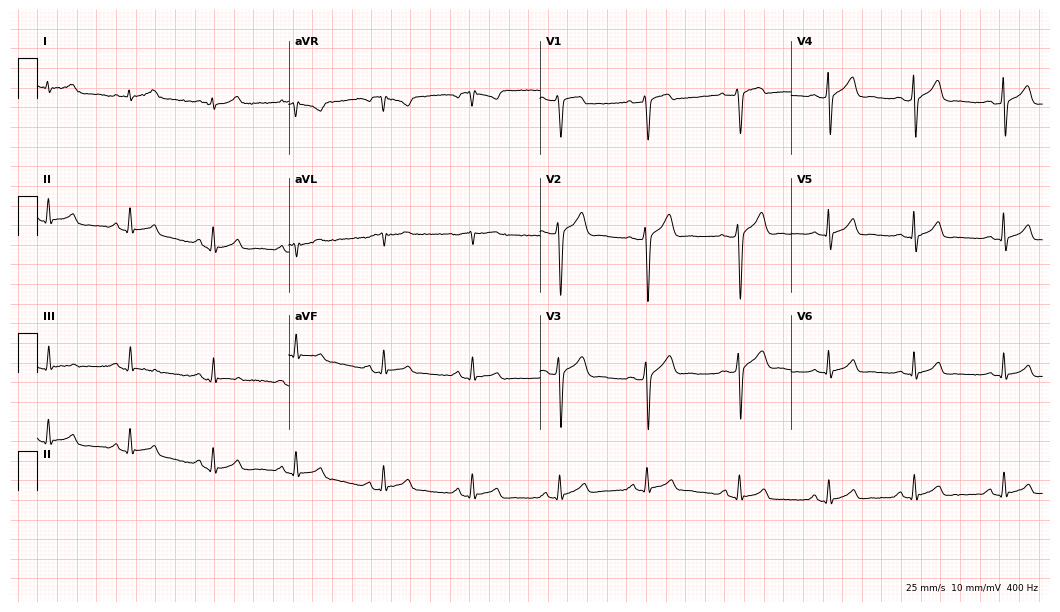
12-lead ECG from a 34-year-old male patient (10.2-second recording at 400 Hz). Recorded interpretation: within normal limits.